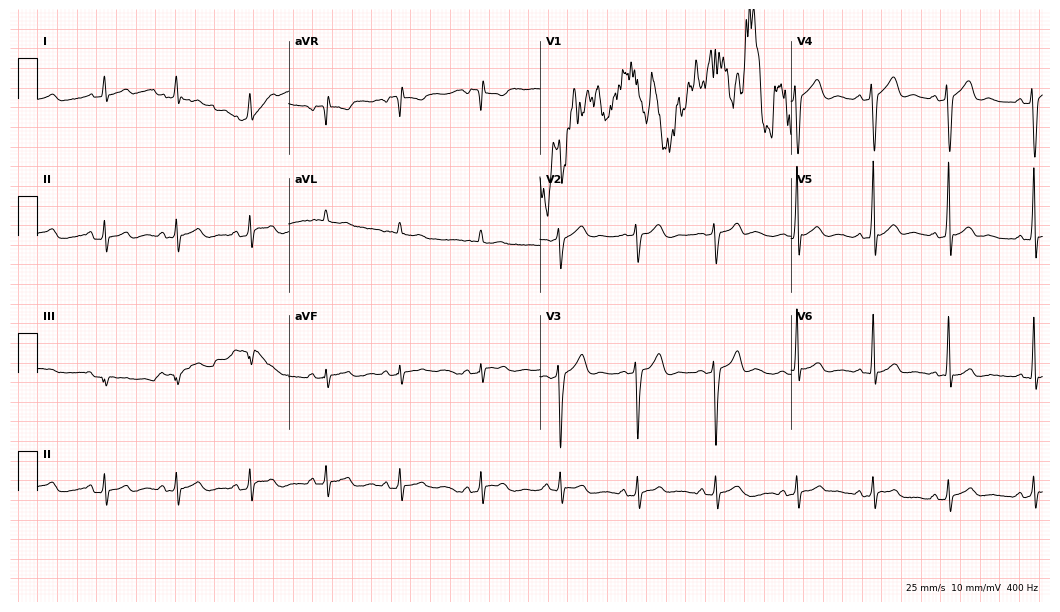
12-lead ECG from a male, 20 years old (10.2-second recording at 400 Hz). Recorded interpretation: within normal limits.